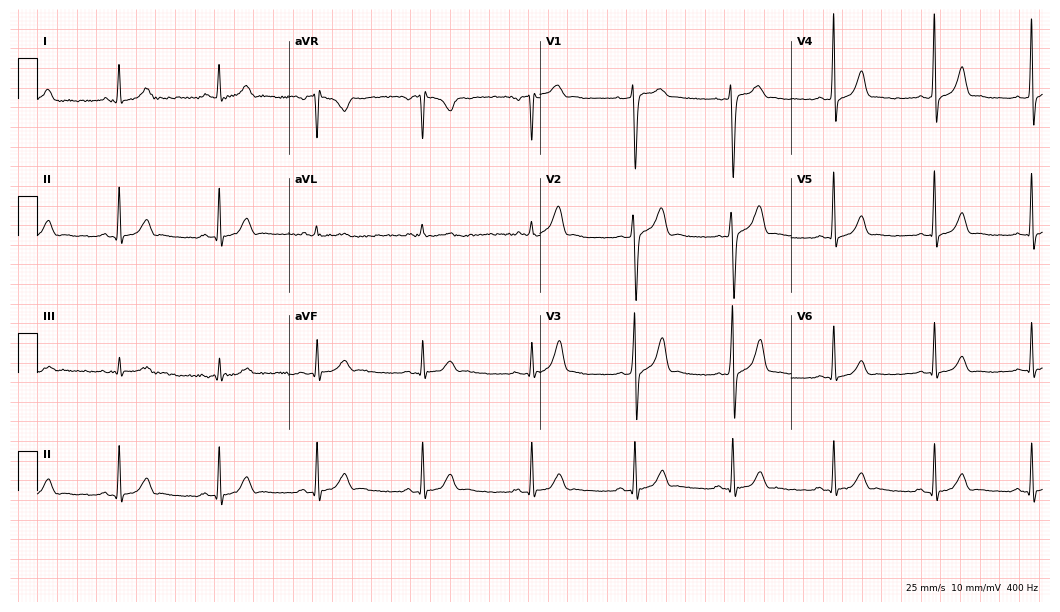
Resting 12-lead electrocardiogram. Patient: a man, 25 years old. Read as a normal ECG.